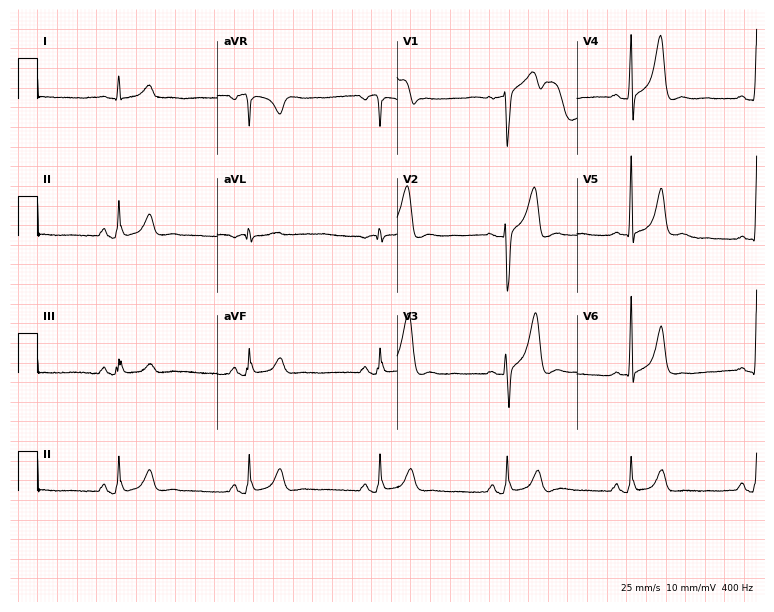
12-lead ECG from a male, 38 years old (7.3-second recording at 400 Hz). Shows sinus bradycardia (a sinus rate of 50 beats per minute or less).